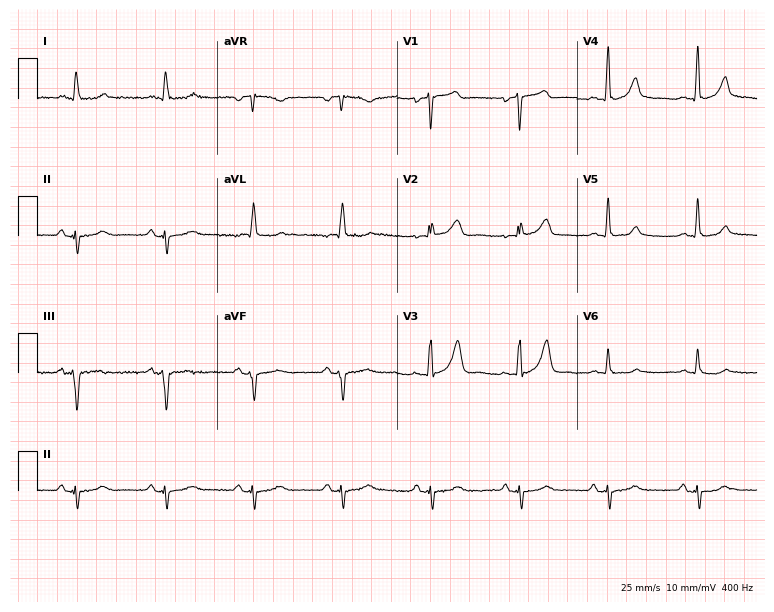
Resting 12-lead electrocardiogram (7.3-second recording at 400 Hz). Patient: a male, 77 years old. None of these six findings is recorded: first-degree AV block, right bundle branch block, left bundle branch block, sinus bradycardia, atrial fibrillation, sinus tachycardia. Other findings, if any, are not listed.